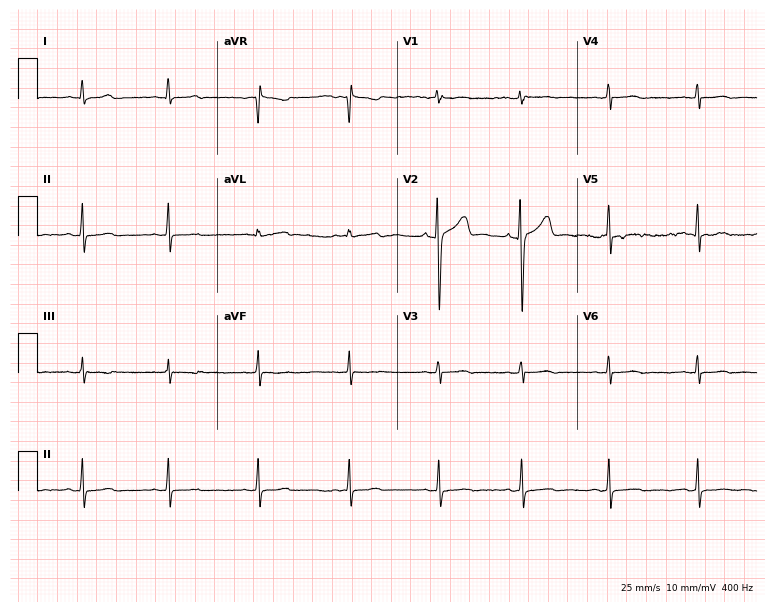
Electrocardiogram, a 28-year-old female patient. Of the six screened findings (first-degree AV block, right bundle branch block, left bundle branch block, sinus bradycardia, atrial fibrillation, sinus tachycardia), none is recorded. Other findings, if any, are not listed.